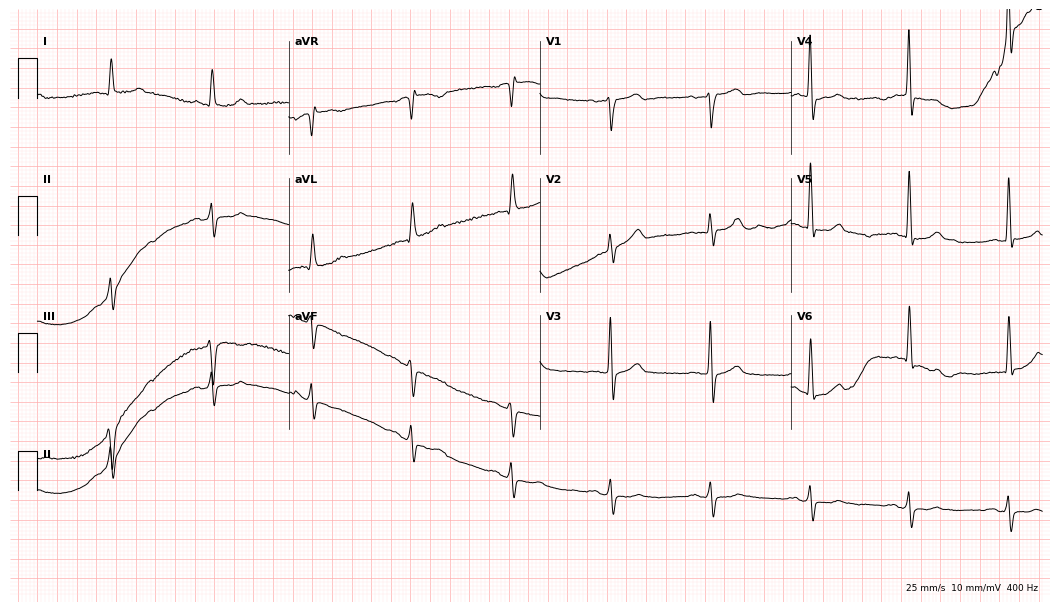
12-lead ECG from a man, 80 years old. No first-degree AV block, right bundle branch block, left bundle branch block, sinus bradycardia, atrial fibrillation or sinus tachycardia recorded for this tracing. Findings outside these six are not listed.